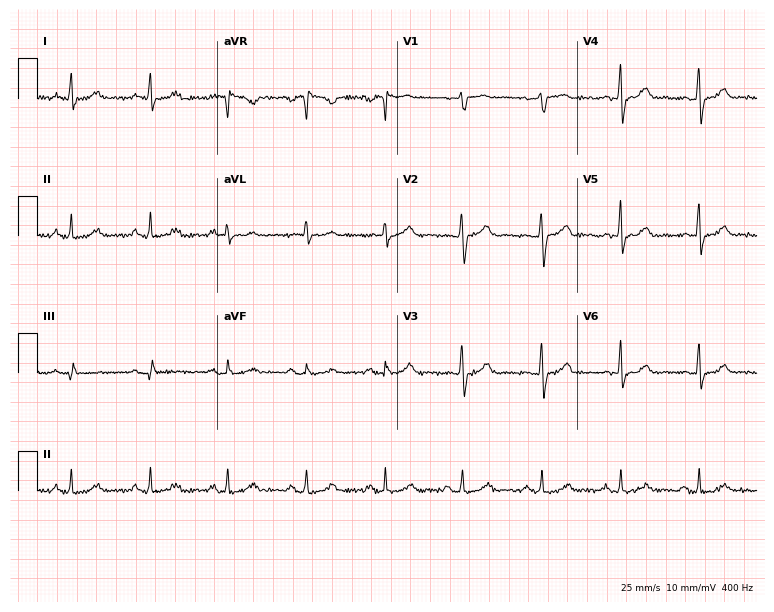
Electrocardiogram (7.3-second recording at 400 Hz), a 53-year-old female. Overall reading on record: normal ECG.